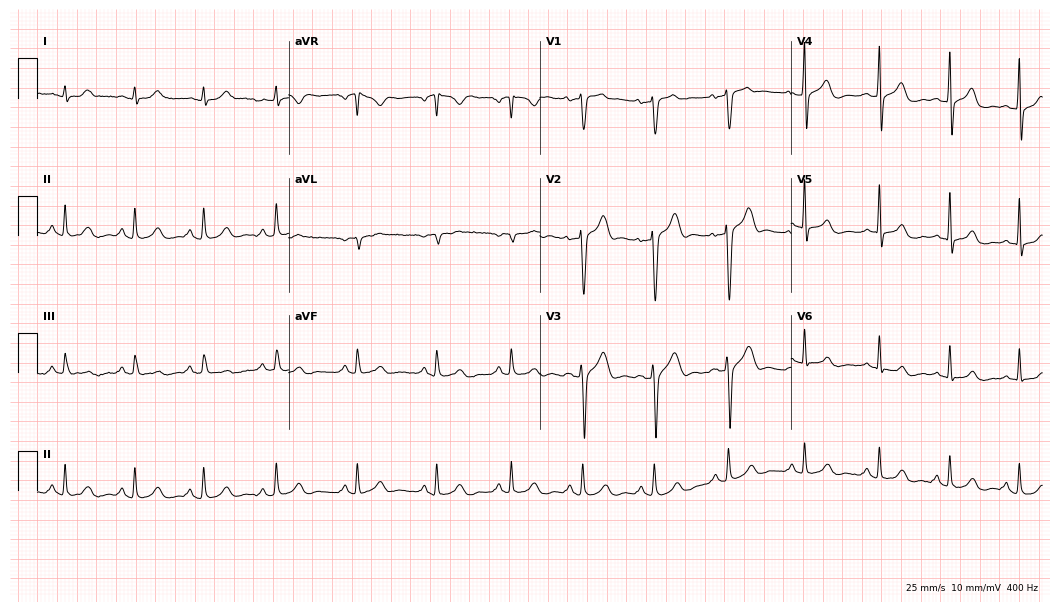
Resting 12-lead electrocardiogram. Patient: a 42-year-old male. Read as a normal ECG.